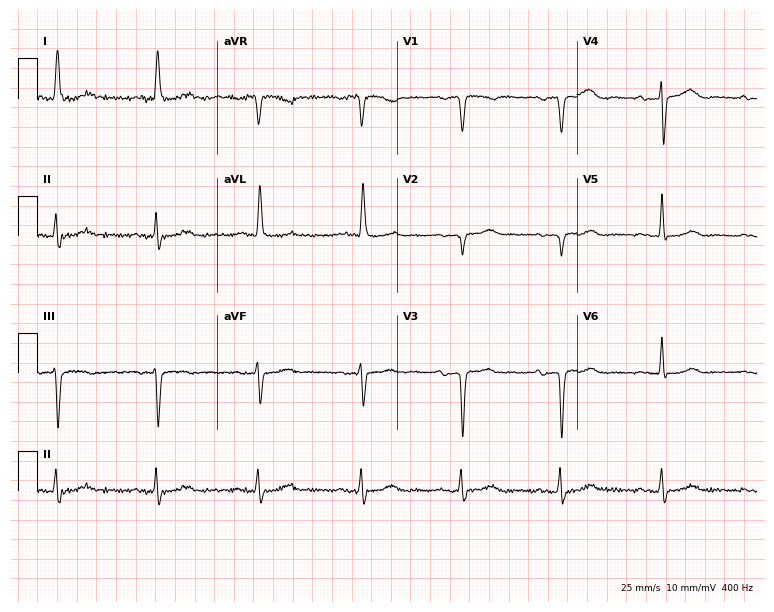
Electrocardiogram, a female, 83 years old. Of the six screened findings (first-degree AV block, right bundle branch block, left bundle branch block, sinus bradycardia, atrial fibrillation, sinus tachycardia), none is recorded. Only these six findings were labelled.